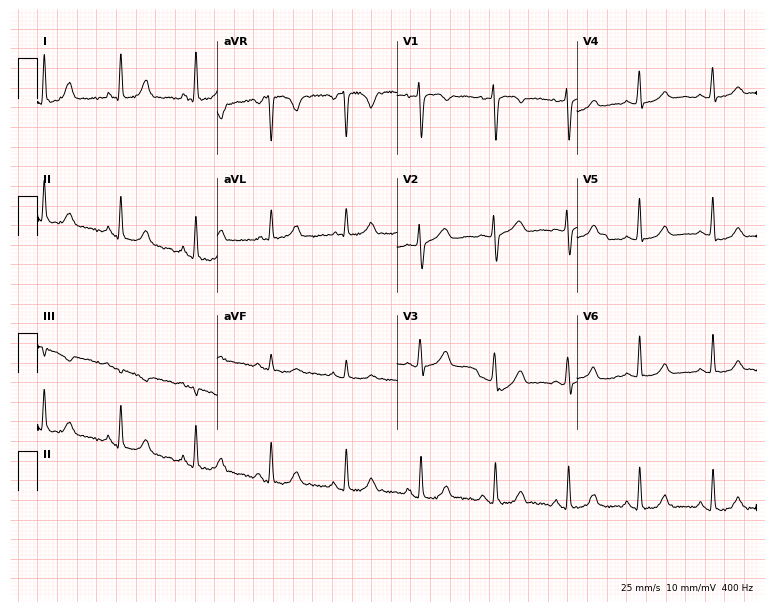
Electrocardiogram (7.3-second recording at 400 Hz), a woman, 50 years old. Of the six screened findings (first-degree AV block, right bundle branch block (RBBB), left bundle branch block (LBBB), sinus bradycardia, atrial fibrillation (AF), sinus tachycardia), none is recorded. Findings outside these six are not listed.